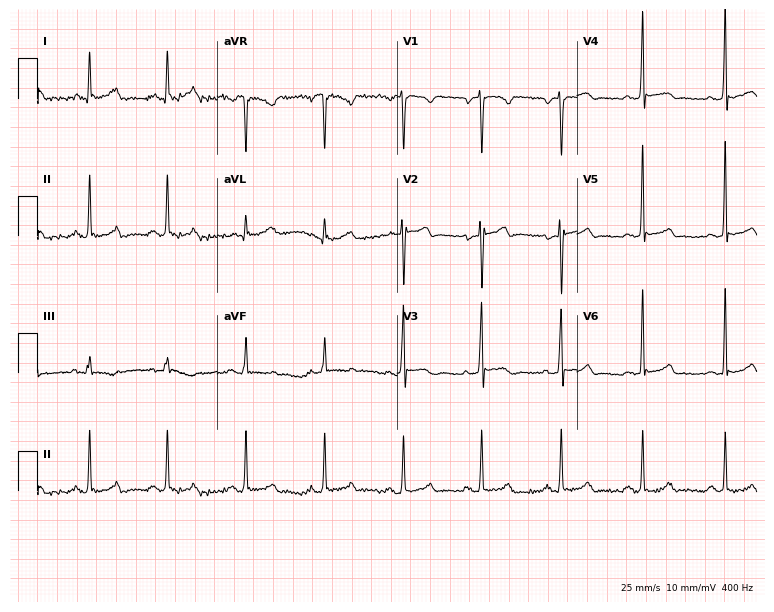
12-lead ECG from a 46-year-old male patient. No first-degree AV block, right bundle branch block (RBBB), left bundle branch block (LBBB), sinus bradycardia, atrial fibrillation (AF) or sinus tachycardia recorded for this tracing.